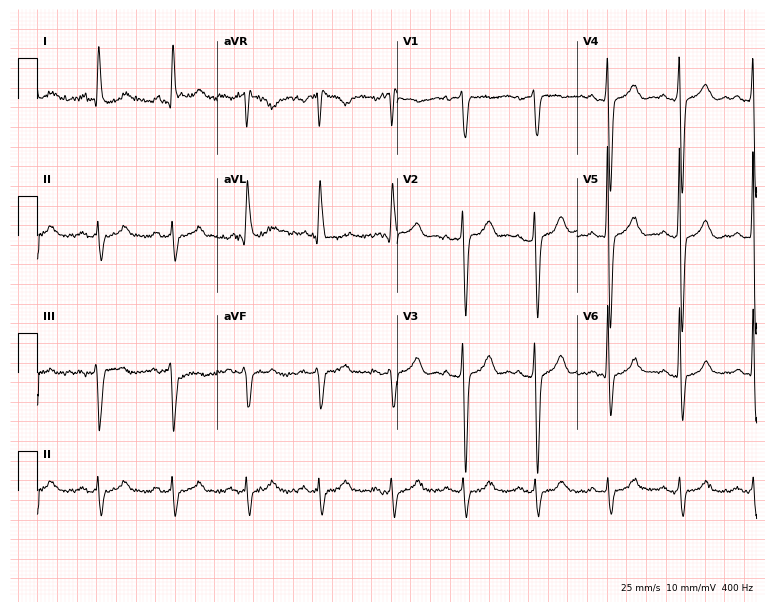
Electrocardiogram (7.3-second recording at 400 Hz), a male, 75 years old. Of the six screened findings (first-degree AV block, right bundle branch block (RBBB), left bundle branch block (LBBB), sinus bradycardia, atrial fibrillation (AF), sinus tachycardia), none is recorded. Only these six findings were labelled.